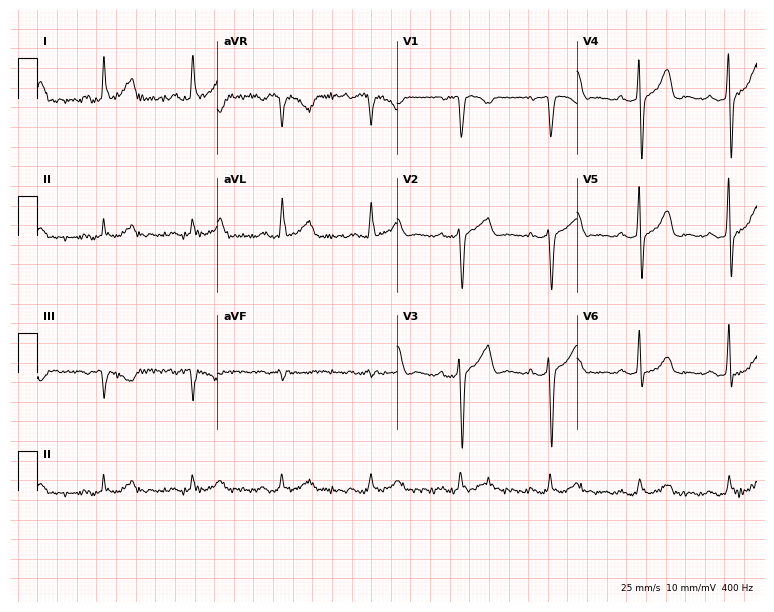
12-lead ECG from a 61-year-old woman. No first-degree AV block, right bundle branch block, left bundle branch block, sinus bradycardia, atrial fibrillation or sinus tachycardia recorded for this tracing. Only these six findings were labelled.